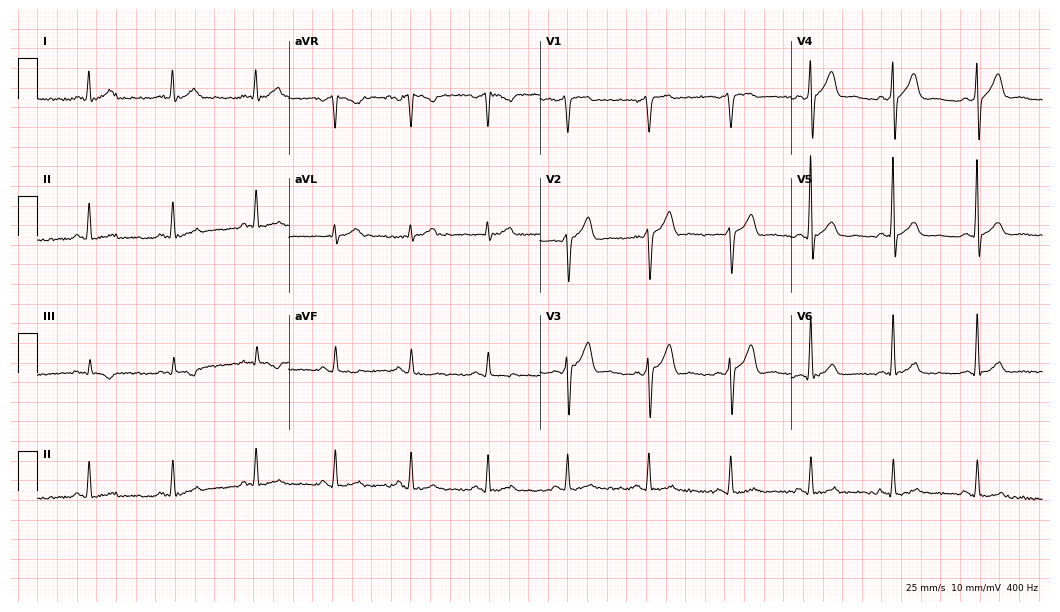
12-lead ECG (10.2-second recording at 400 Hz) from a male patient, 45 years old. Labelled as a normal ECG.